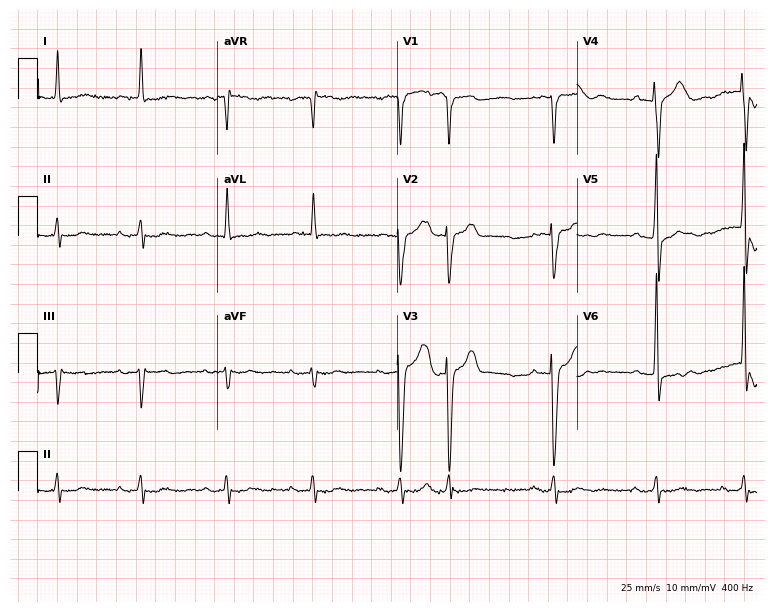
Electrocardiogram, an 82-year-old male. Of the six screened findings (first-degree AV block, right bundle branch block, left bundle branch block, sinus bradycardia, atrial fibrillation, sinus tachycardia), none is recorded.